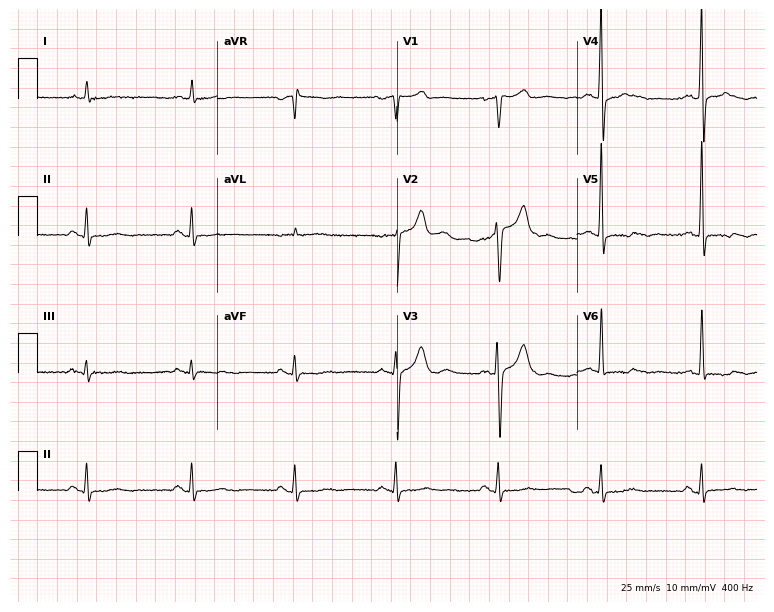
Electrocardiogram (7.3-second recording at 400 Hz), a 60-year-old male. Of the six screened findings (first-degree AV block, right bundle branch block (RBBB), left bundle branch block (LBBB), sinus bradycardia, atrial fibrillation (AF), sinus tachycardia), none is recorded. Findings outside these six are not listed.